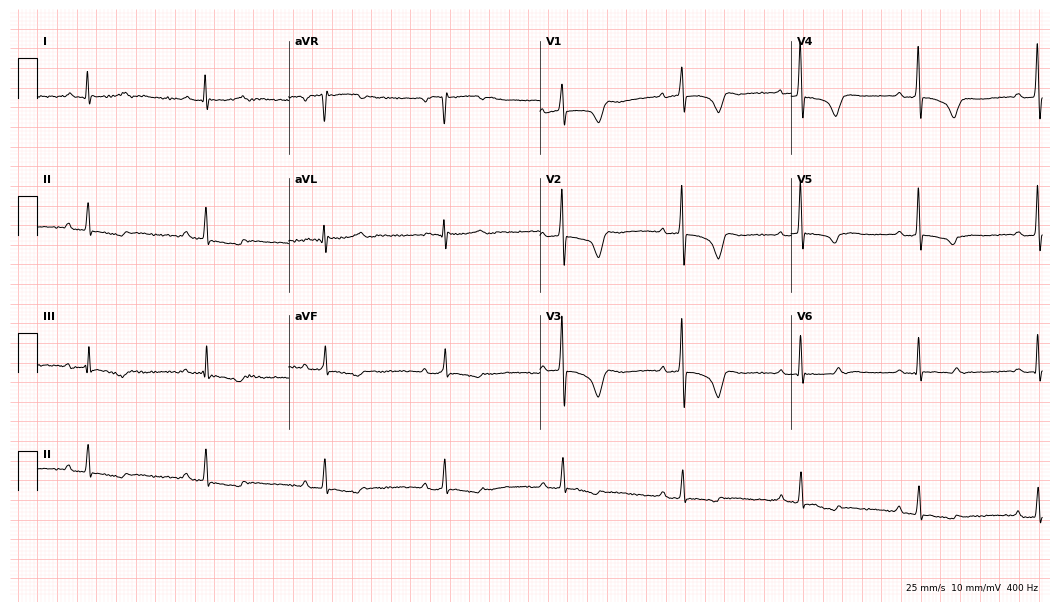
ECG (10.2-second recording at 400 Hz) — a 61-year-old female patient. Screened for six findings — first-degree AV block, right bundle branch block, left bundle branch block, sinus bradycardia, atrial fibrillation, sinus tachycardia — none is recorded. Other findings, if any, are not listed.